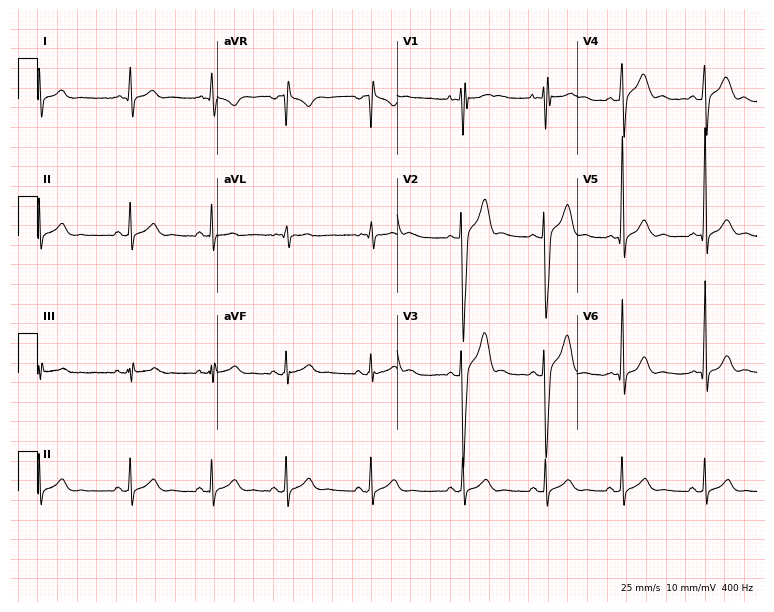
Resting 12-lead electrocardiogram (7.3-second recording at 400 Hz). Patient: a male, 17 years old. Read as a normal ECG.